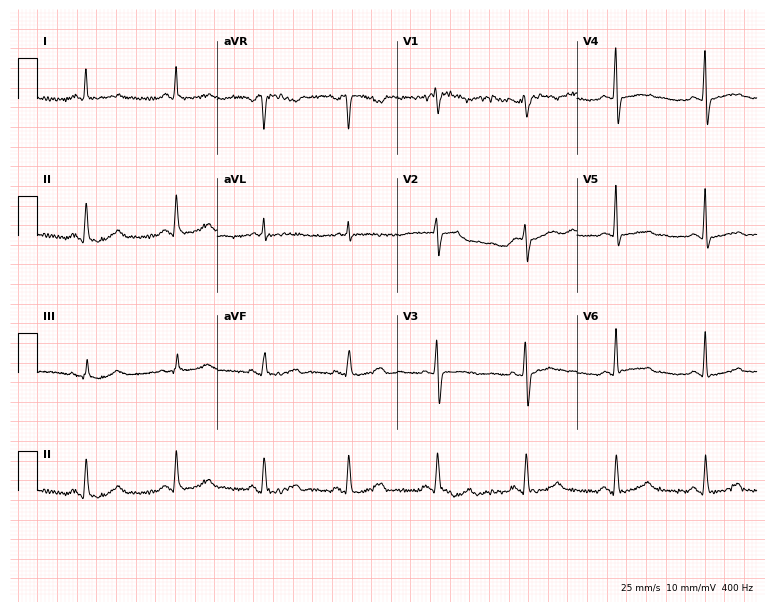
12-lead ECG from a 61-year-old female patient. Screened for six findings — first-degree AV block, right bundle branch block, left bundle branch block, sinus bradycardia, atrial fibrillation, sinus tachycardia — none is recorded. Only these six findings were labelled.